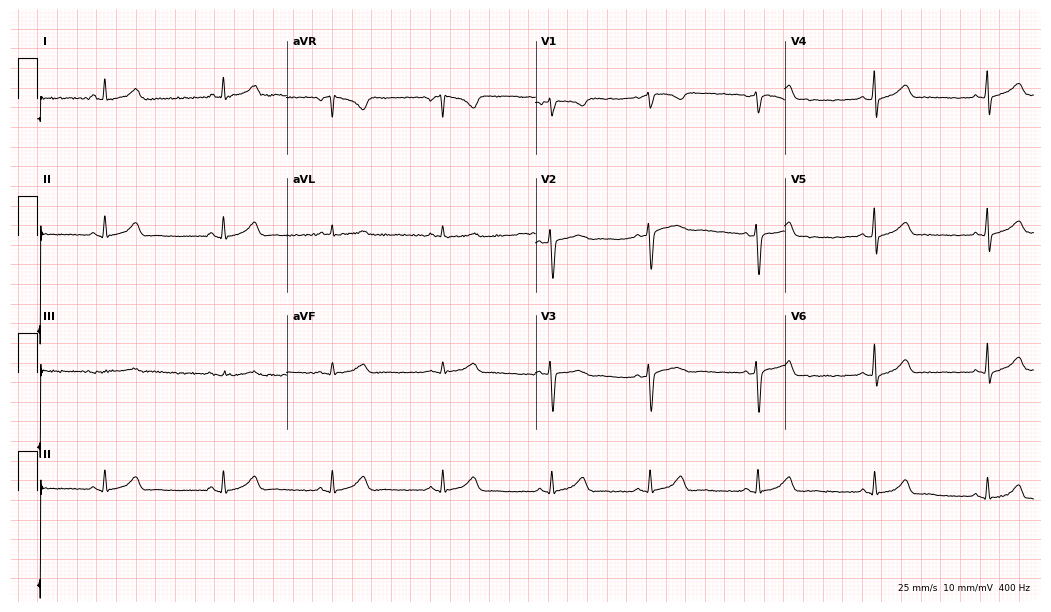
Resting 12-lead electrocardiogram. Patient: a woman, 34 years old. Read as a normal ECG.